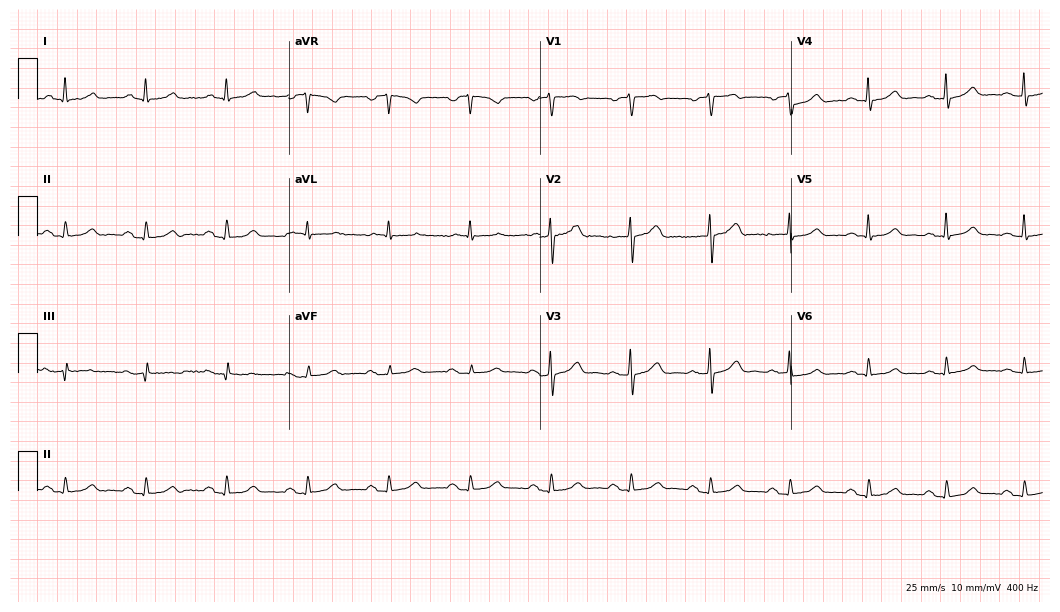
Resting 12-lead electrocardiogram. Patient: a male, 71 years old. None of these six findings is recorded: first-degree AV block, right bundle branch block, left bundle branch block, sinus bradycardia, atrial fibrillation, sinus tachycardia.